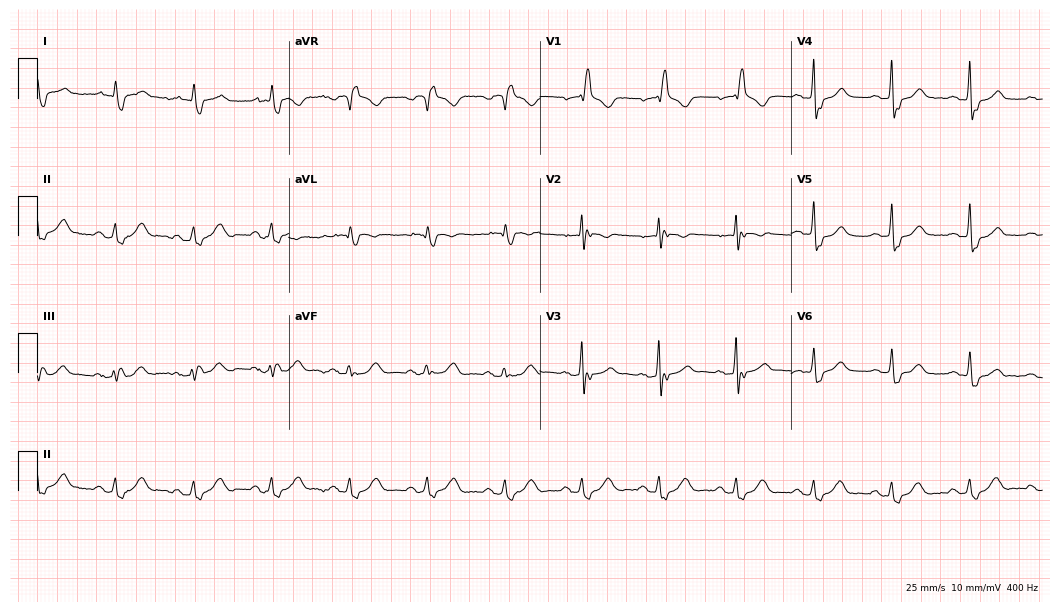
ECG (10.2-second recording at 400 Hz) — an 81-year-old male. Findings include atrial fibrillation (AF).